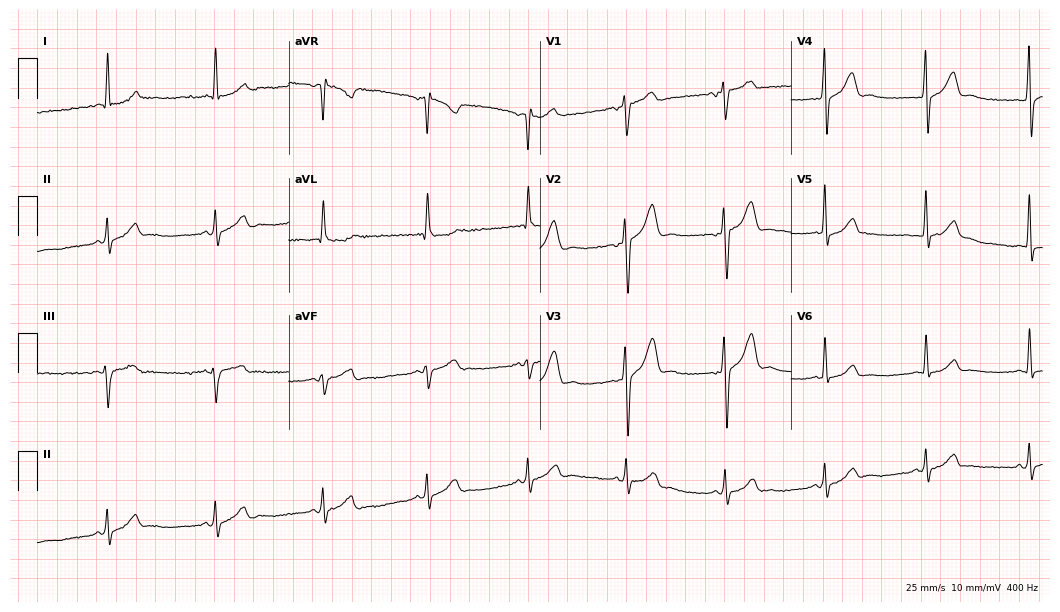
12-lead ECG from a 47-year-old male. Screened for six findings — first-degree AV block, right bundle branch block, left bundle branch block, sinus bradycardia, atrial fibrillation, sinus tachycardia — none is recorded.